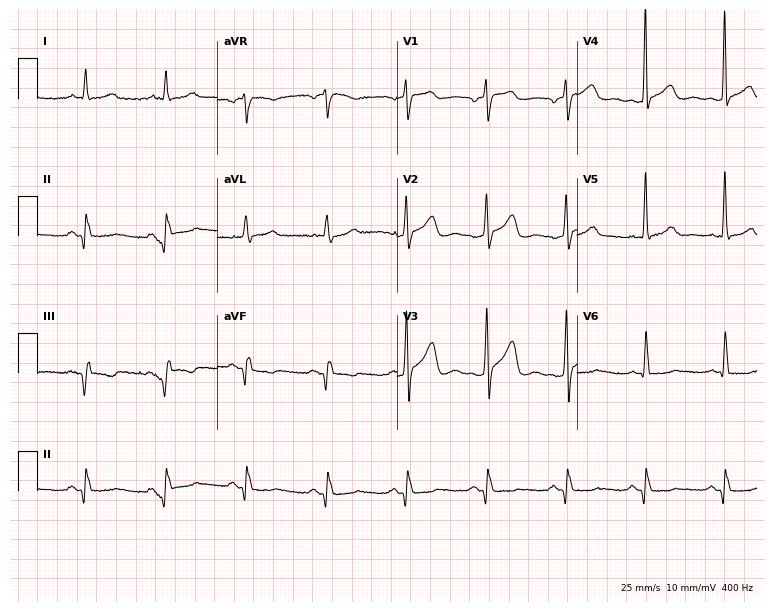
12-lead ECG from a 41-year-old male (7.3-second recording at 400 Hz). No first-degree AV block, right bundle branch block (RBBB), left bundle branch block (LBBB), sinus bradycardia, atrial fibrillation (AF) or sinus tachycardia recorded for this tracing. Findings outside these six are not listed.